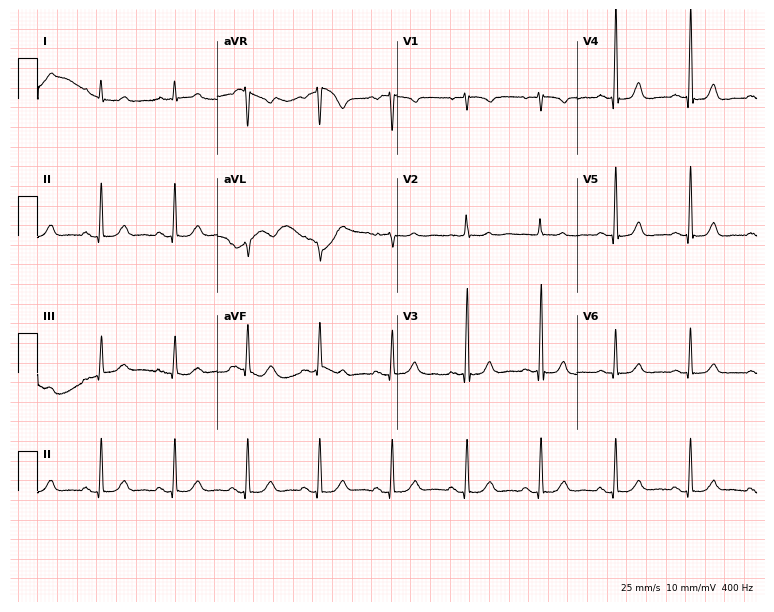
Electrocardiogram, a female, 71 years old. Overall reading on record: normal ECG.